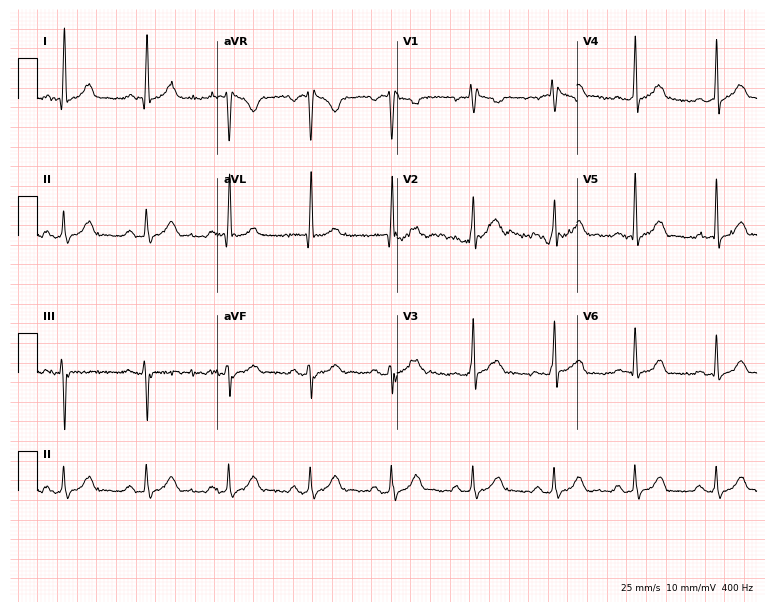
12-lead ECG from a man, 55 years old. Recorded interpretation: within normal limits.